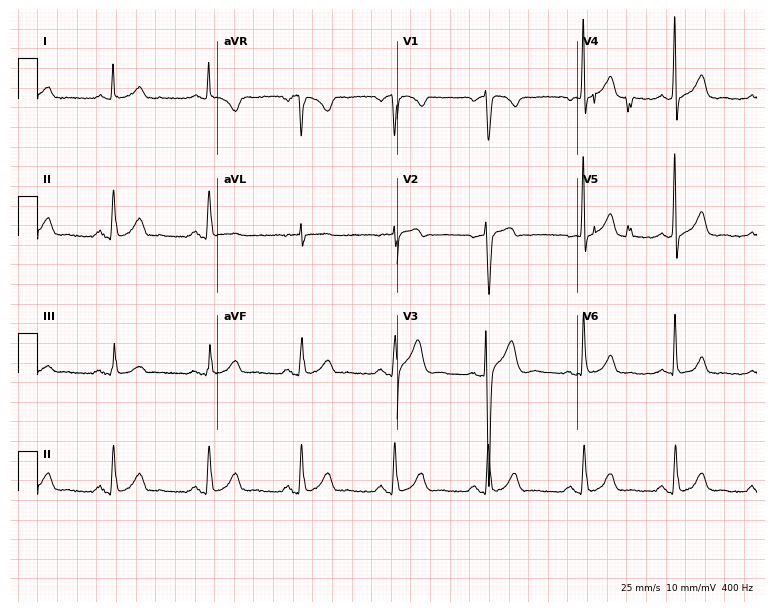
ECG — a male patient, 42 years old. Screened for six findings — first-degree AV block, right bundle branch block (RBBB), left bundle branch block (LBBB), sinus bradycardia, atrial fibrillation (AF), sinus tachycardia — none is recorded. Only these six findings were labelled.